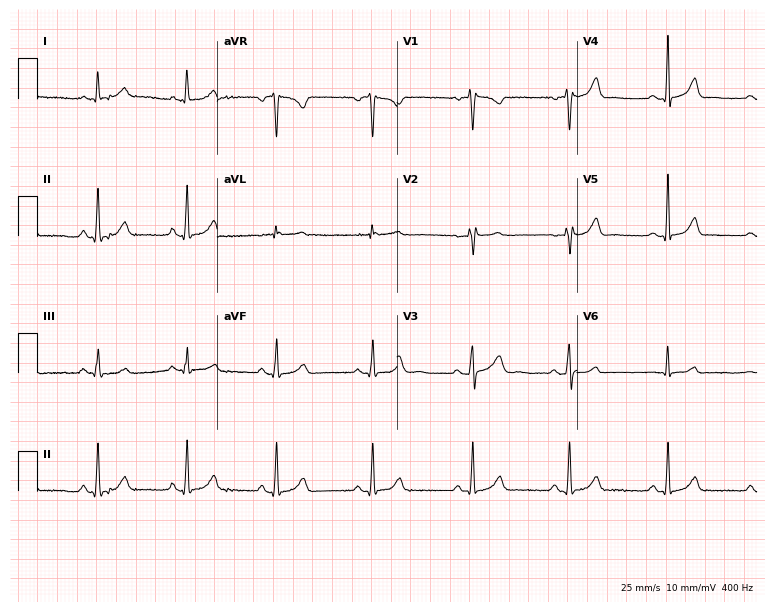
Electrocardiogram (7.3-second recording at 400 Hz), a 22-year-old female. Overall reading on record: normal ECG.